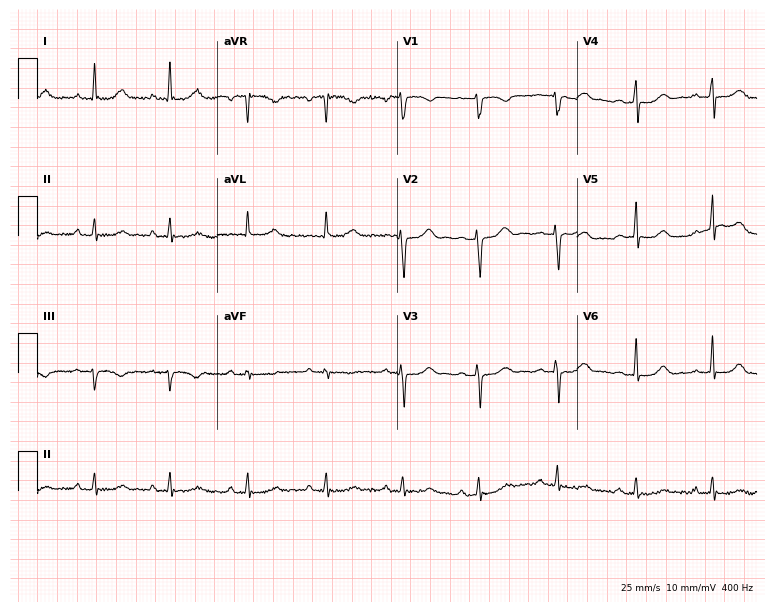
Electrocardiogram (7.3-second recording at 400 Hz), a man, 64 years old. Overall reading on record: normal ECG.